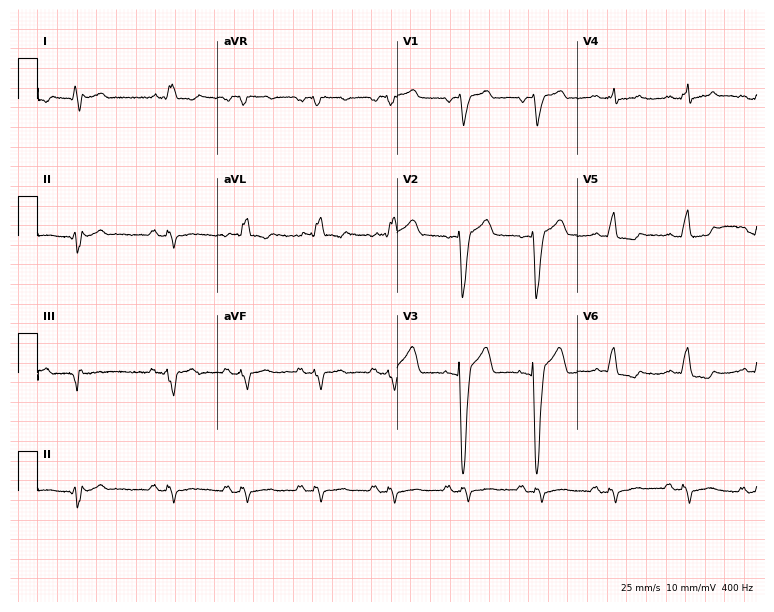
ECG (7.3-second recording at 400 Hz) — a female patient, 83 years old. Findings include left bundle branch block (LBBB).